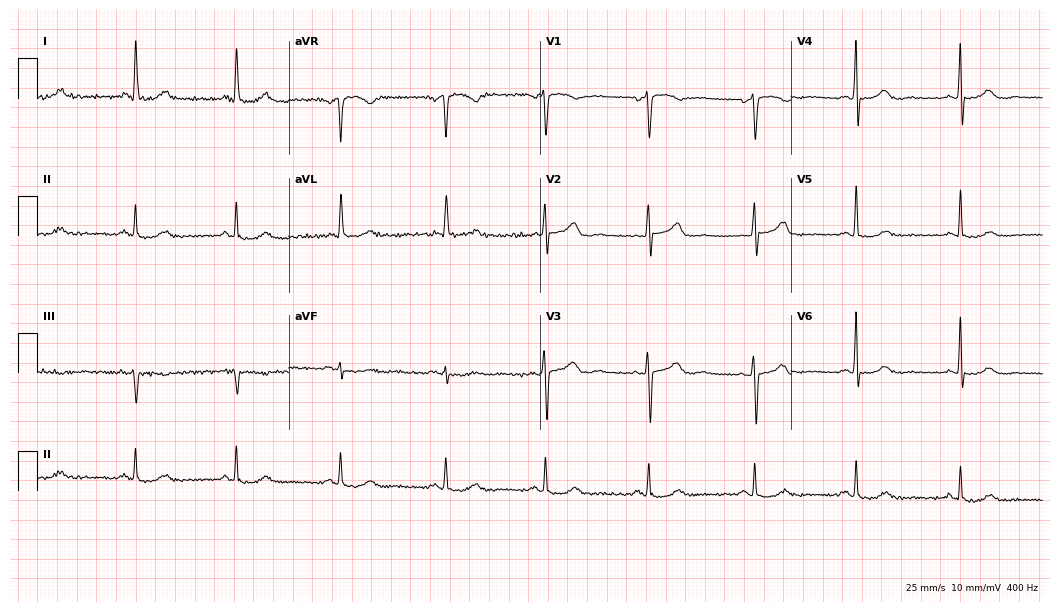
12-lead ECG from a female, 73 years old (10.2-second recording at 400 Hz). Recorded interpretation: within normal limits.